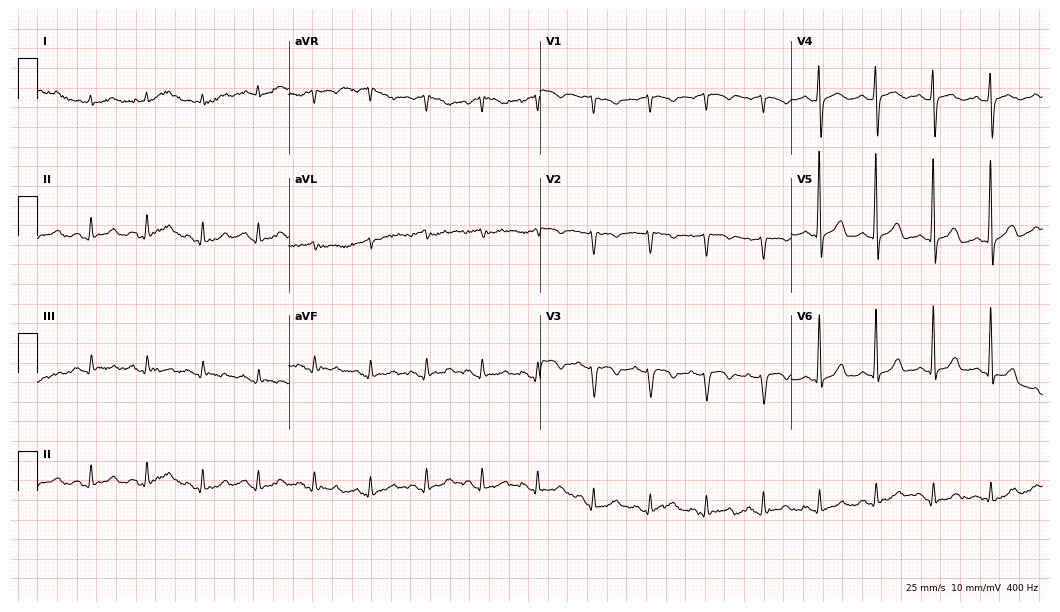
ECG — a female, 86 years old. Labelled as a normal ECG.